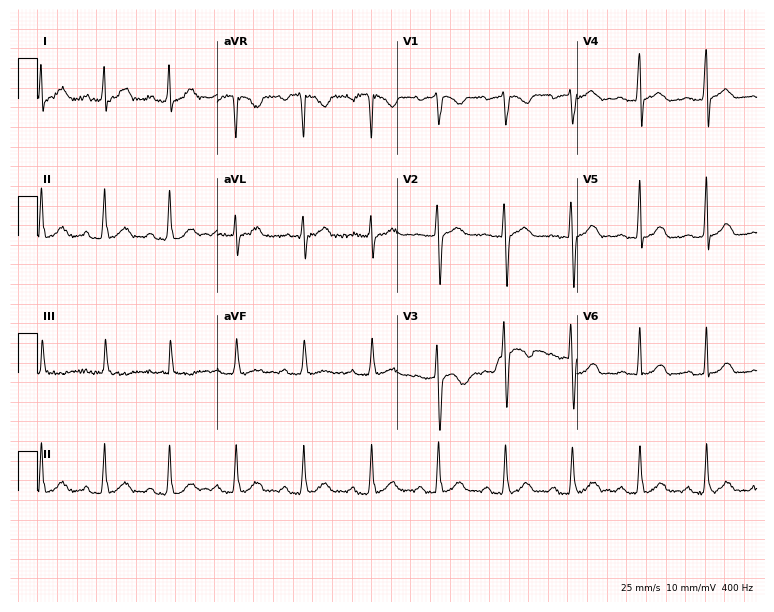
Resting 12-lead electrocardiogram. Patient: a 36-year-old woman. Read as a normal ECG.